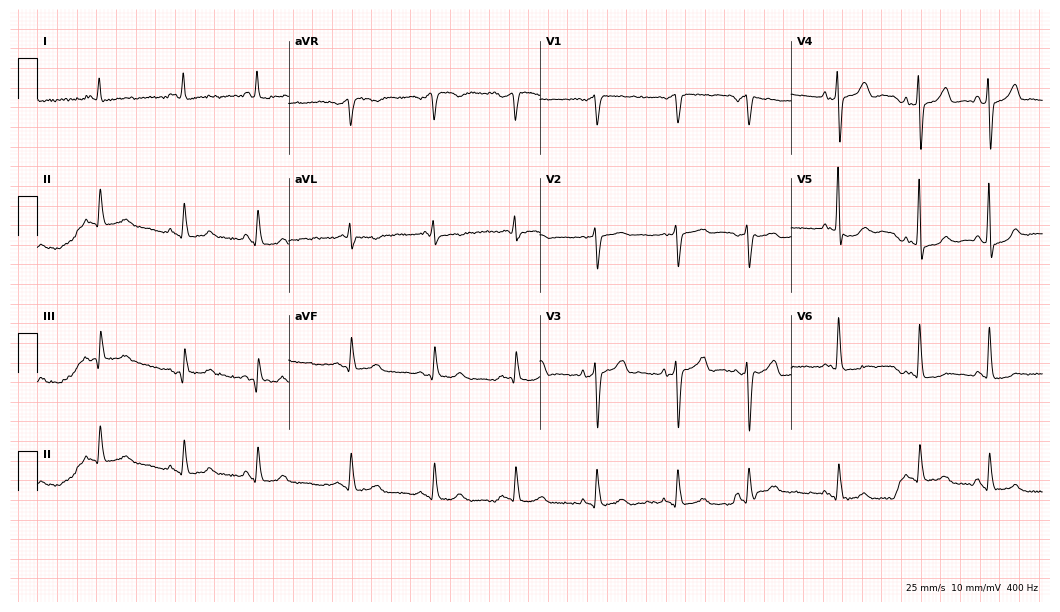
Standard 12-lead ECG recorded from a 68-year-old male patient. None of these six findings is recorded: first-degree AV block, right bundle branch block (RBBB), left bundle branch block (LBBB), sinus bradycardia, atrial fibrillation (AF), sinus tachycardia.